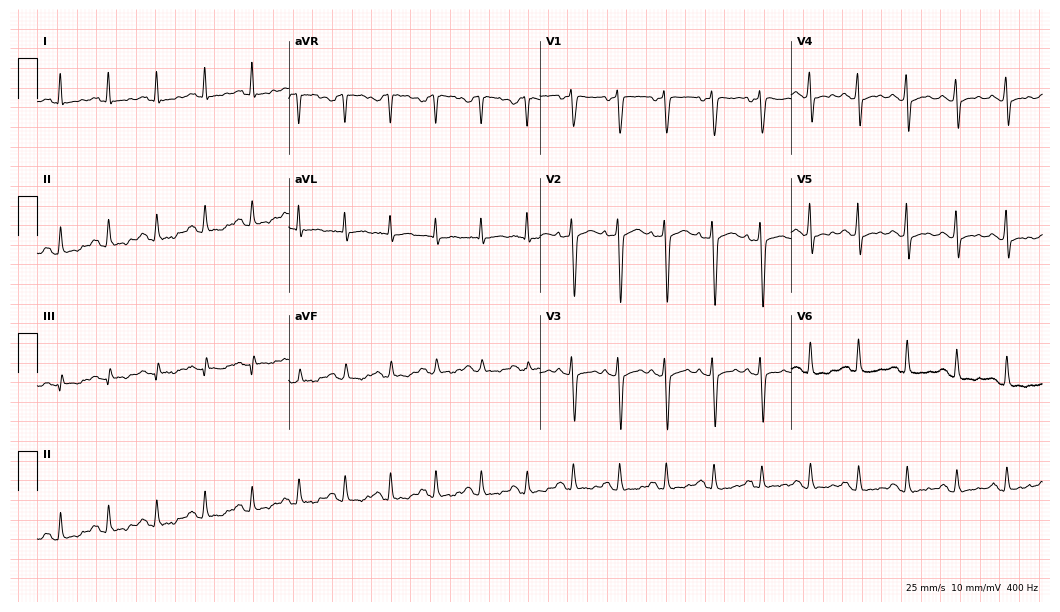
ECG (10.2-second recording at 400 Hz) — a 36-year-old male patient. Findings include sinus tachycardia (a sinus rate of 100 beats per minute or more).